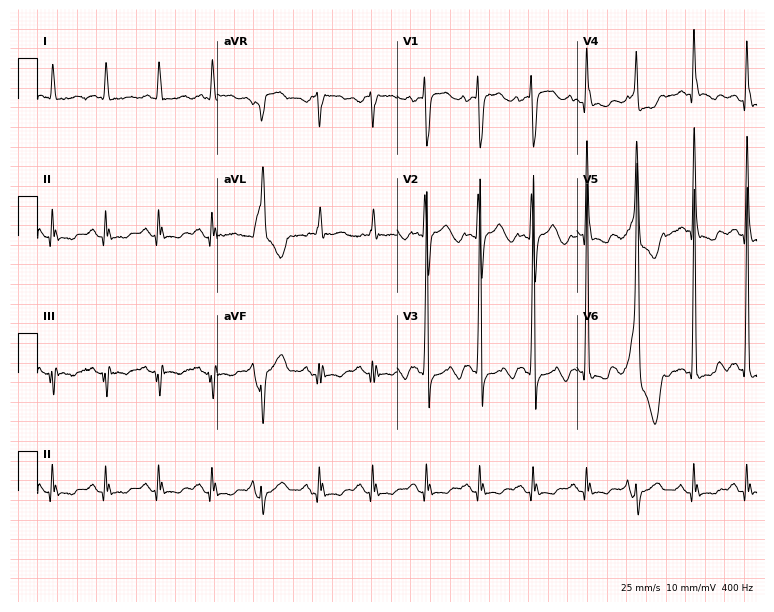
Resting 12-lead electrocardiogram. Patient: a male, 70 years old. The tracing shows sinus tachycardia (a sinus rate of 100 beats per minute or more).